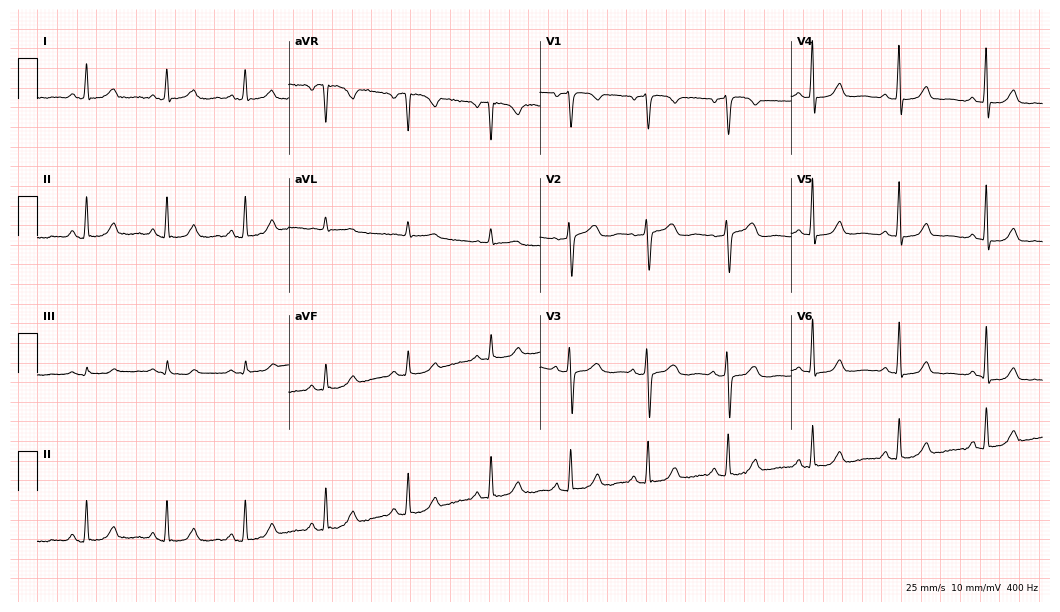
12-lead ECG from a 58-year-old female. Recorded interpretation: within normal limits.